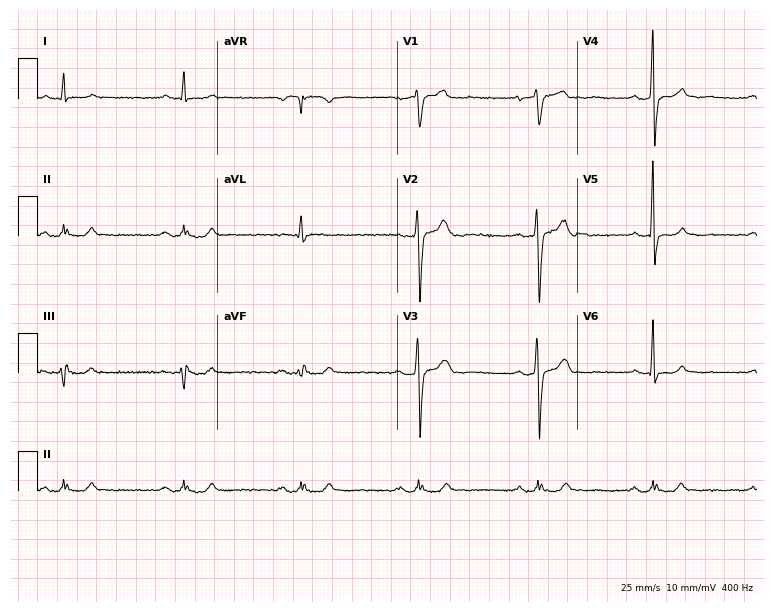
Resting 12-lead electrocardiogram. Patient: a 66-year-old male. The tracing shows sinus bradycardia (a sinus rate of 50 beats per minute or less).